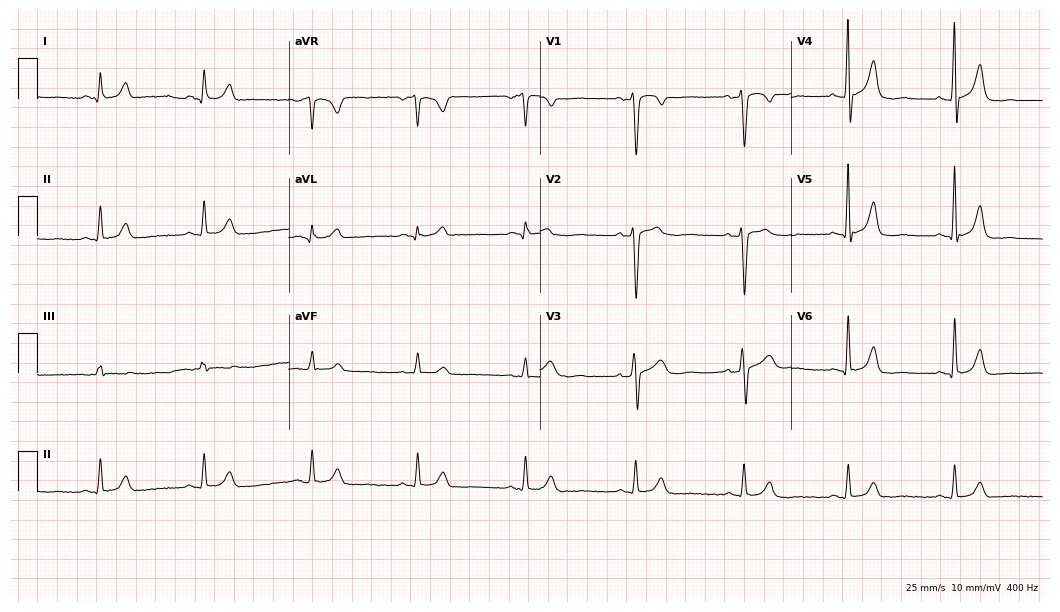
Electrocardiogram (10.2-second recording at 400 Hz), a 41-year-old male. Of the six screened findings (first-degree AV block, right bundle branch block, left bundle branch block, sinus bradycardia, atrial fibrillation, sinus tachycardia), none is recorded.